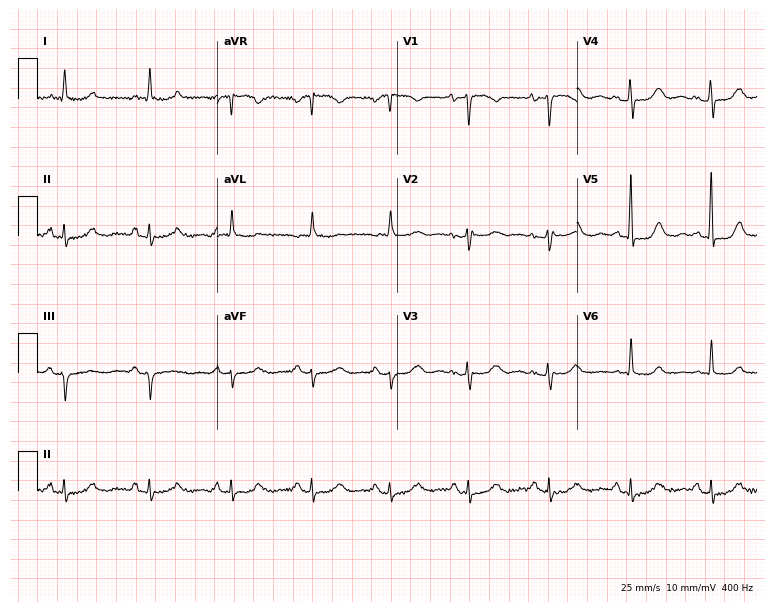
Electrocardiogram, a 79-year-old female. Of the six screened findings (first-degree AV block, right bundle branch block (RBBB), left bundle branch block (LBBB), sinus bradycardia, atrial fibrillation (AF), sinus tachycardia), none is recorded.